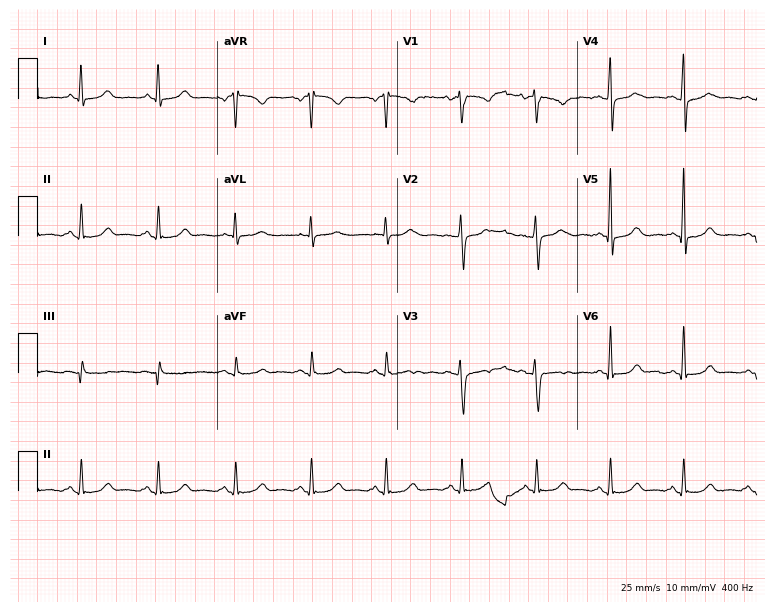
Resting 12-lead electrocardiogram (7.3-second recording at 400 Hz). Patient: a 45-year-old woman. Read as a normal ECG.